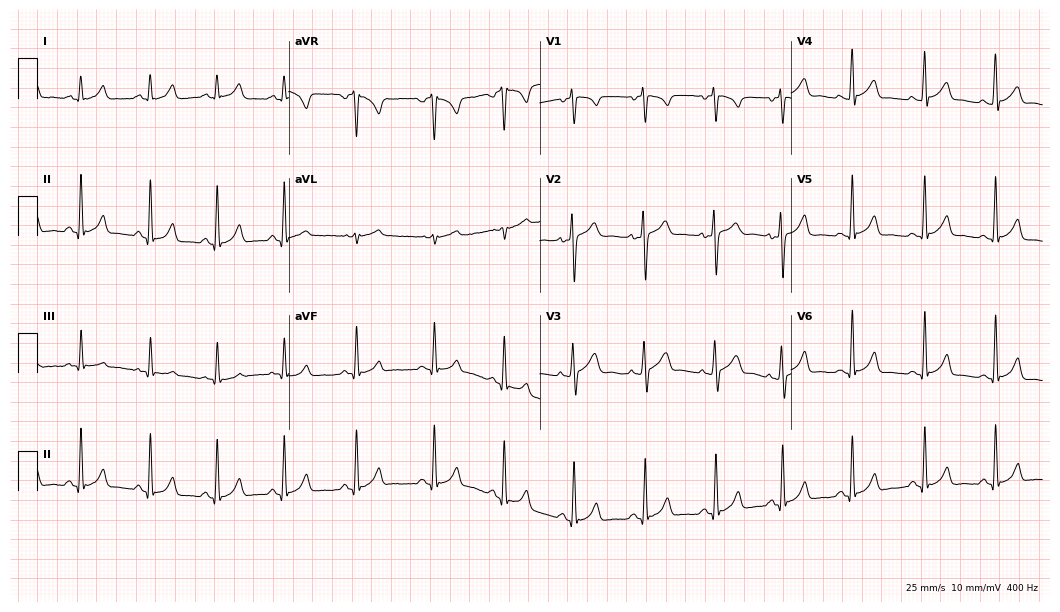
Standard 12-lead ECG recorded from a 23-year-old female patient. Read as a normal ECG.